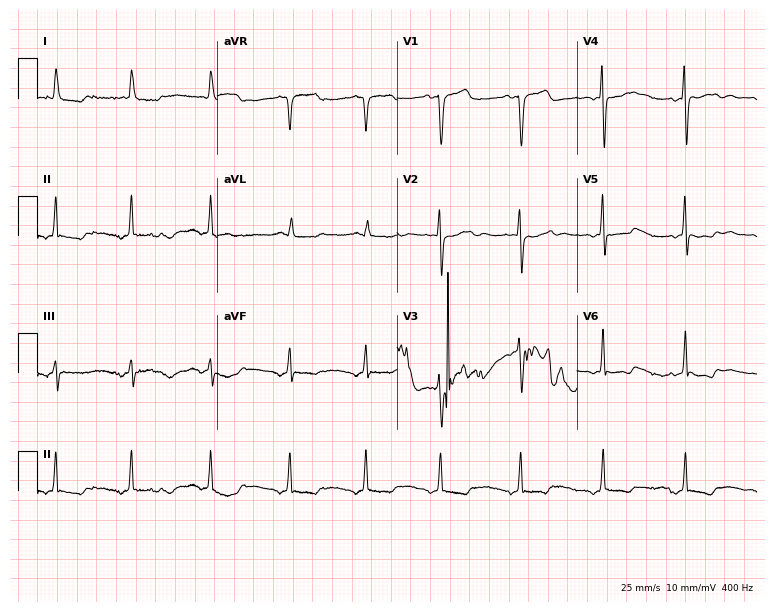
12-lead ECG (7.3-second recording at 400 Hz) from an 85-year-old female patient. Screened for six findings — first-degree AV block, right bundle branch block, left bundle branch block, sinus bradycardia, atrial fibrillation, sinus tachycardia — none is recorded. Other findings, if any, are not listed.